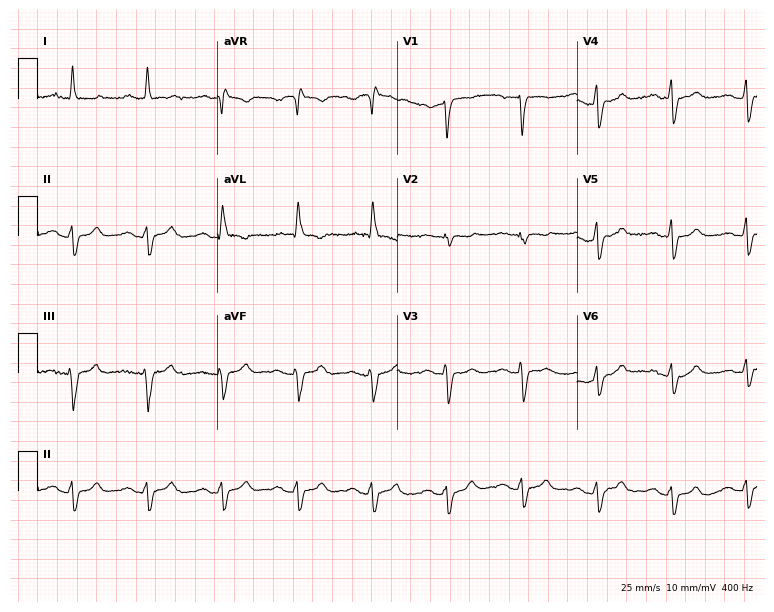
Resting 12-lead electrocardiogram (7.3-second recording at 400 Hz). Patient: a male, 76 years old. None of these six findings is recorded: first-degree AV block, right bundle branch block, left bundle branch block, sinus bradycardia, atrial fibrillation, sinus tachycardia. Findings outside these six are not listed.